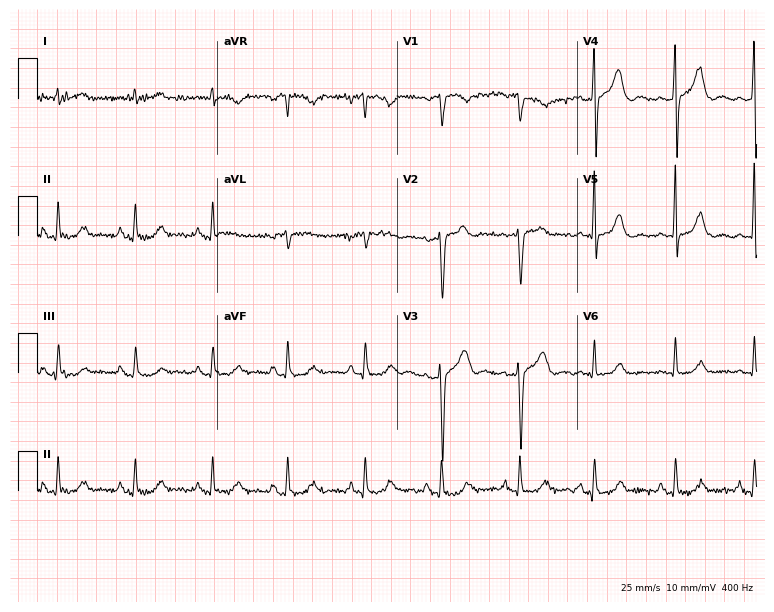
Electrocardiogram (7.3-second recording at 400 Hz), a male, 81 years old. Overall reading on record: normal ECG.